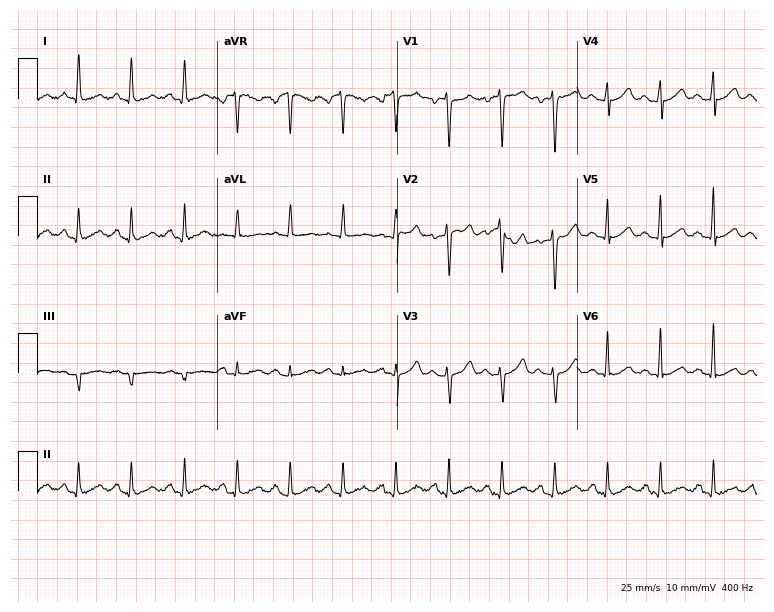
Standard 12-lead ECG recorded from a 50-year-old woman. None of these six findings is recorded: first-degree AV block, right bundle branch block, left bundle branch block, sinus bradycardia, atrial fibrillation, sinus tachycardia. Findings outside these six are not listed.